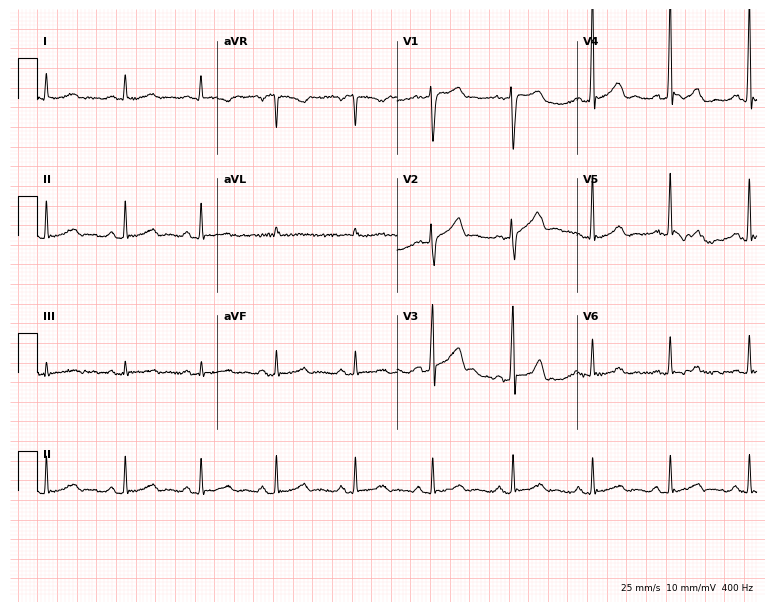
Resting 12-lead electrocardiogram. Patient: a 36-year-old male. None of these six findings is recorded: first-degree AV block, right bundle branch block, left bundle branch block, sinus bradycardia, atrial fibrillation, sinus tachycardia.